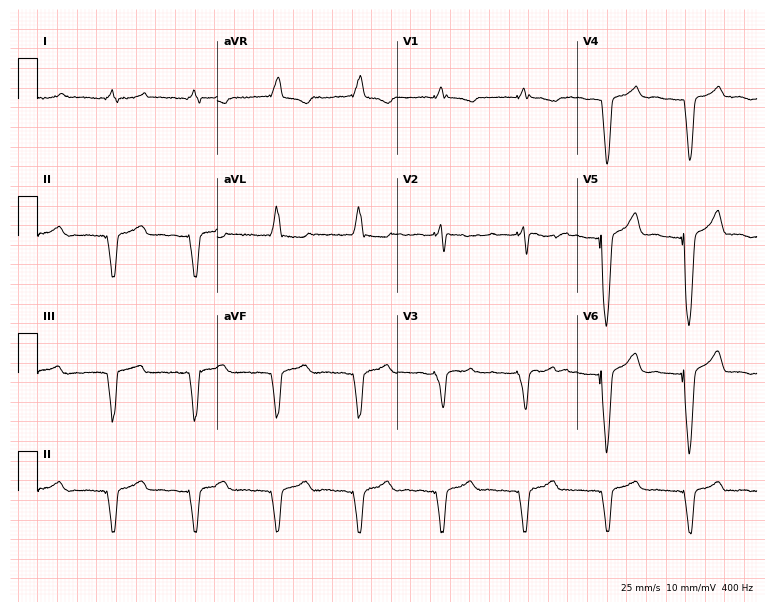
ECG (7.3-second recording at 400 Hz) — a woman, 73 years old. Screened for six findings — first-degree AV block, right bundle branch block, left bundle branch block, sinus bradycardia, atrial fibrillation, sinus tachycardia — none is recorded. Other findings, if any, are not listed.